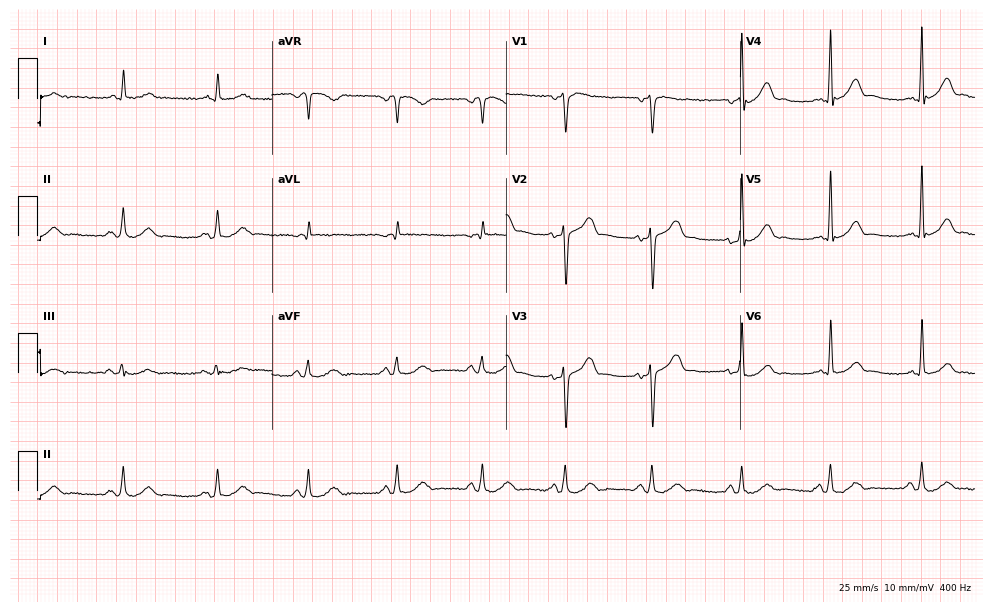
ECG — a 69-year-old male. Labelled as a normal ECG.